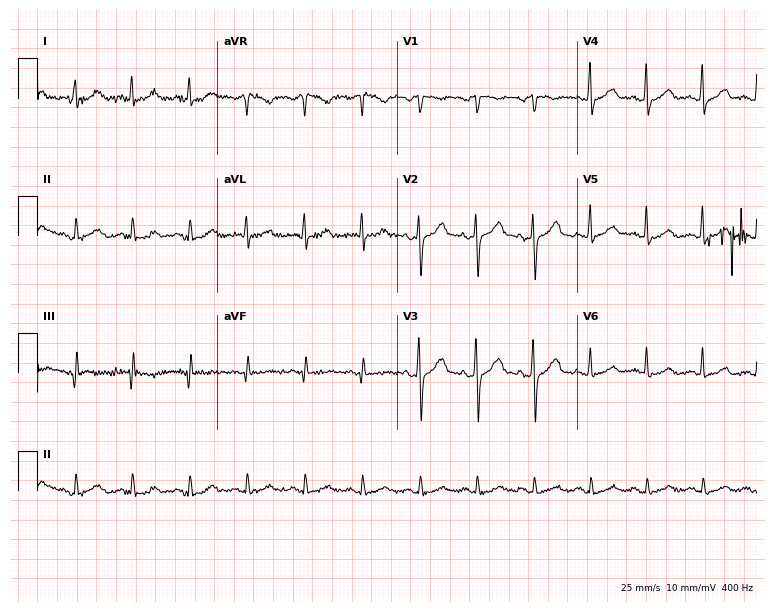
Electrocardiogram, a male, 58 years old. Interpretation includes sinus tachycardia (a sinus rate of 100 beats per minute or more).